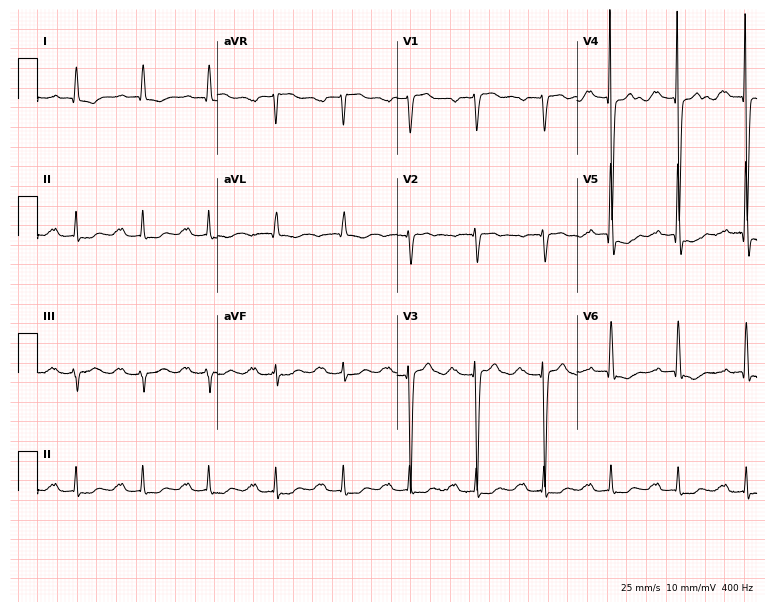
12-lead ECG from an 84-year-old female patient. No first-degree AV block, right bundle branch block, left bundle branch block, sinus bradycardia, atrial fibrillation or sinus tachycardia recorded for this tracing. Other findings, if any, are not listed.